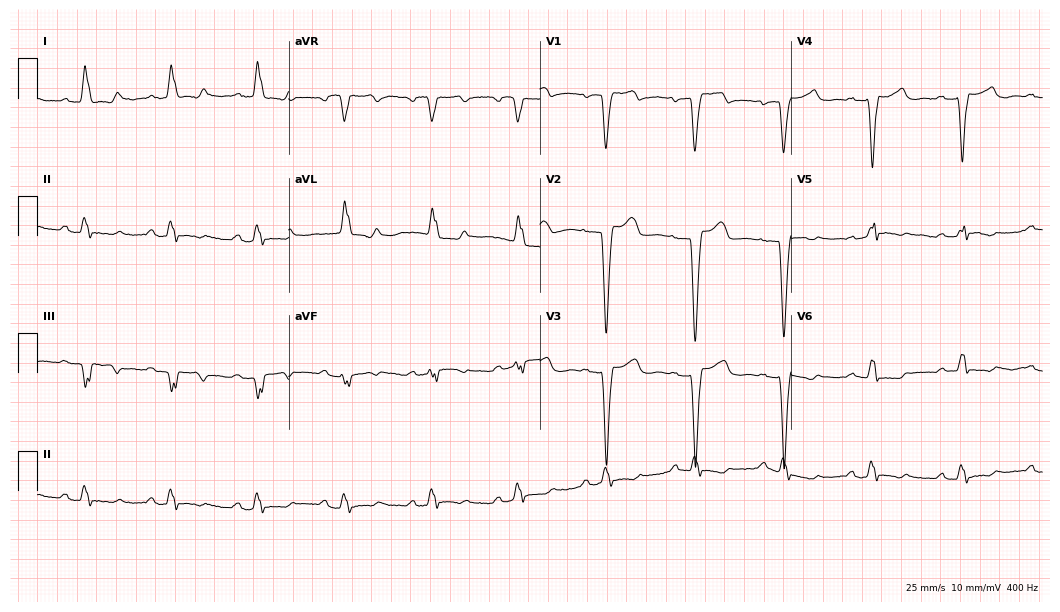
ECG (10.2-second recording at 400 Hz) — an 80-year-old woman. Findings include left bundle branch block (LBBB).